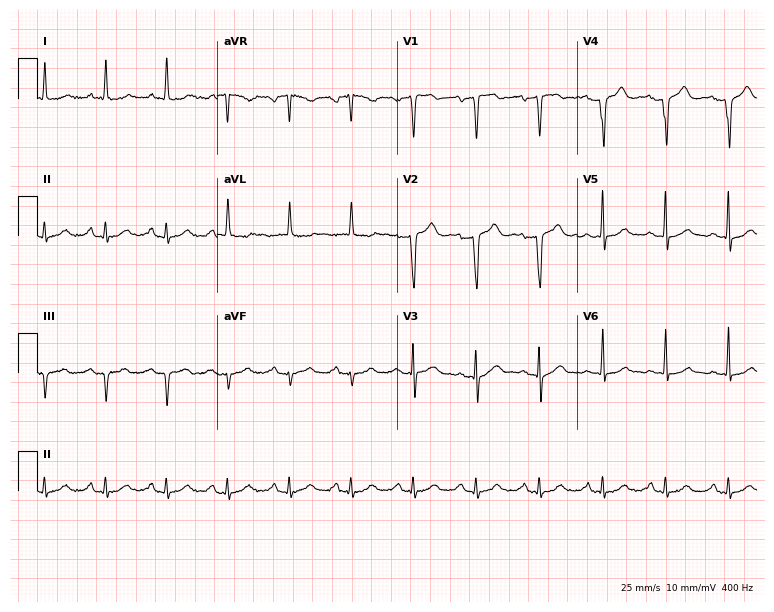
12-lead ECG from a male patient, 76 years old (7.3-second recording at 400 Hz). No first-degree AV block, right bundle branch block, left bundle branch block, sinus bradycardia, atrial fibrillation or sinus tachycardia recorded for this tracing. Only these six findings were labelled.